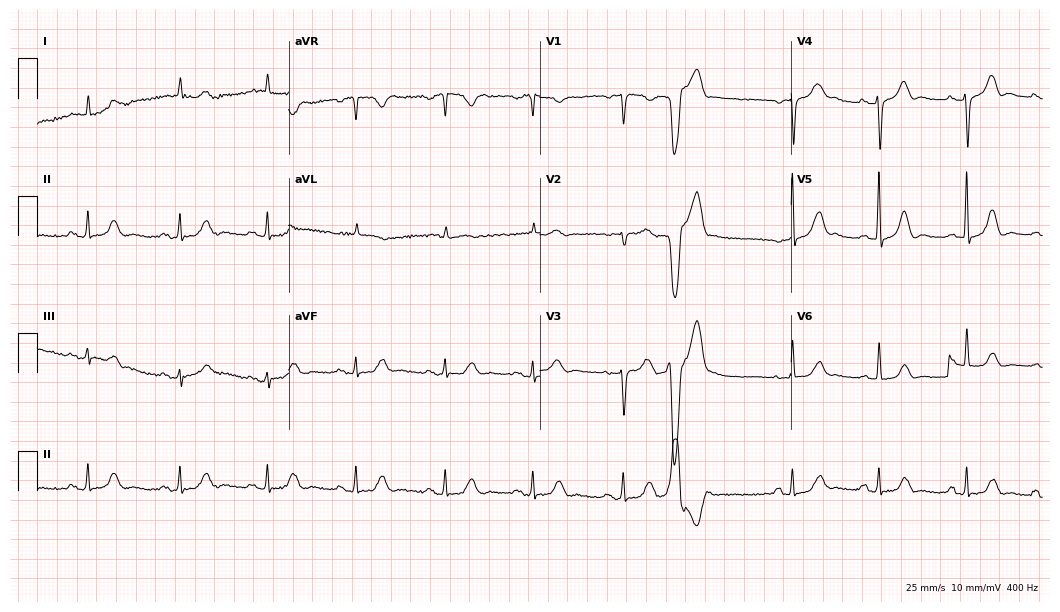
Resting 12-lead electrocardiogram (10.2-second recording at 400 Hz). Patient: a female, 75 years old. None of these six findings is recorded: first-degree AV block, right bundle branch block, left bundle branch block, sinus bradycardia, atrial fibrillation, sinus tachycardia. Findings outside these six are not listed.